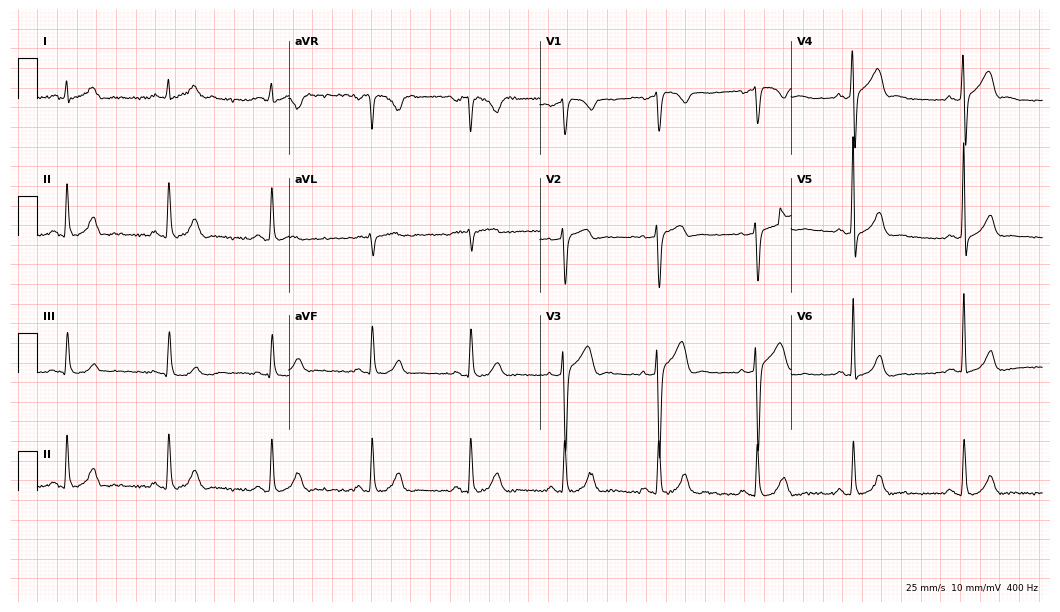
Electrocardiogram, a 45-year-old male. Of the six screened findings (first-degree AV block, right bundle branch block, left bundle branch block, sinus bradycardia, atrial fibrillation, sinus tachycardia), none is recorded.